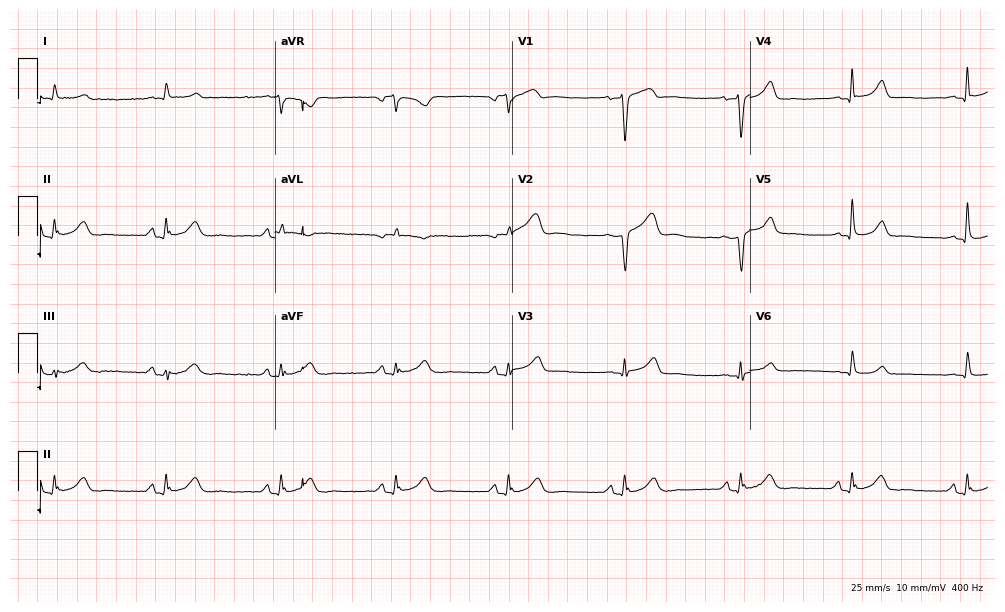
Standard 12-lead ECG recorded from a 74-year-old man (9.7-second recording at 400 Hz). None of these six findings is recorded: first-degree AV block, right bundle branch block, left bundle branch block, sinus bradycardia, atrial fibrillation, sinus tachycardia. Only these six findings were labelled.